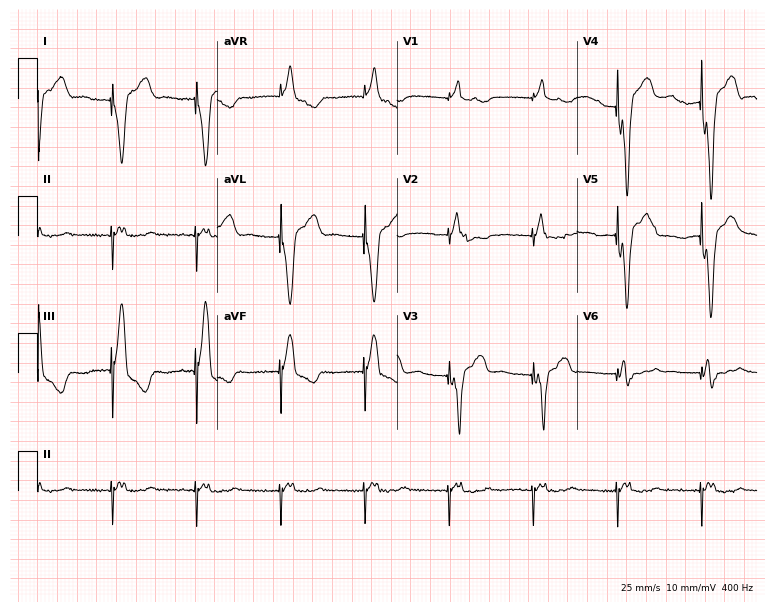
12-lead ECG from a 70-year-old male patient (7.3-second recording at 400 Hz). No first-degree AV block, right bundle branch block, left bundle branch block, sinus bradycardia, atrial fibrillation or sinus tachycardia recorded for this tracing.